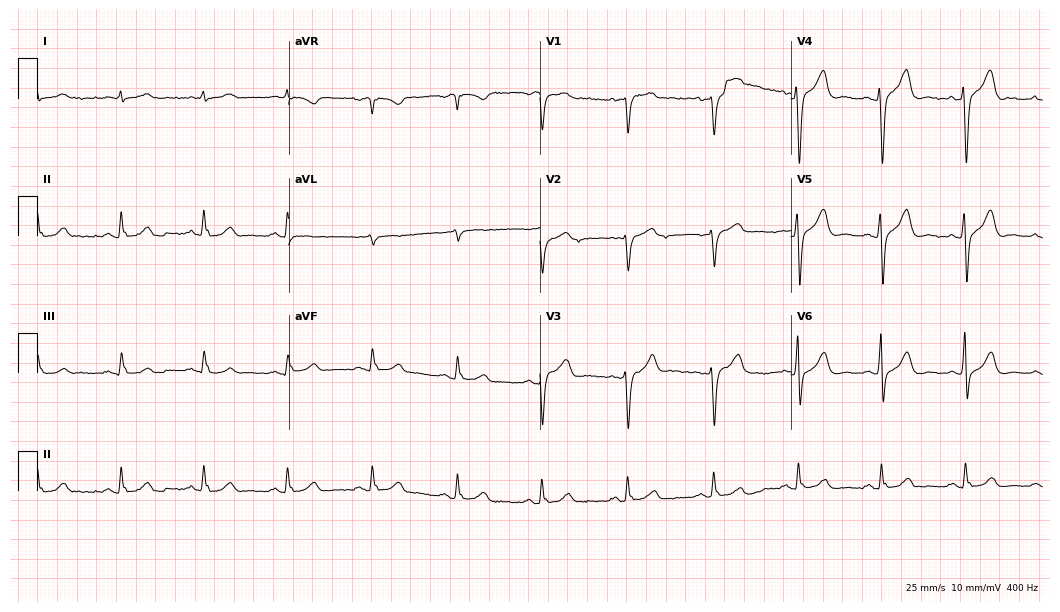
Standard 12-lead ECG recorded from a 62-year-old male. None of these six findings is recorded: first-degree AV block, right bundle branch block, left bundle branch block, sinus bradycardia, atrial fibrillation, sinus tachycardia. Findings outside these six are not listed.